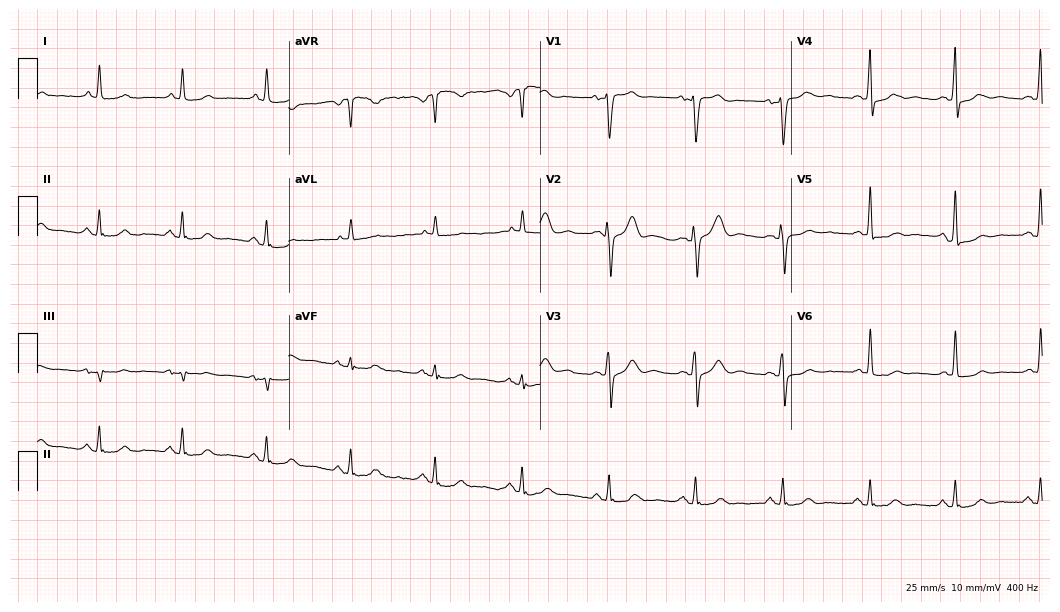
12-lead ECG from a man, 66 years old (10.2-second recording at 400 Hz). No first-degree AV block, right bundle branch block (RBBB), left bundle branch block (LBBB), sinus bradycardia, atrial fibrillation (AF) or sinus tachycardia recorded for this tracing. Other findings, if any, are not listed.